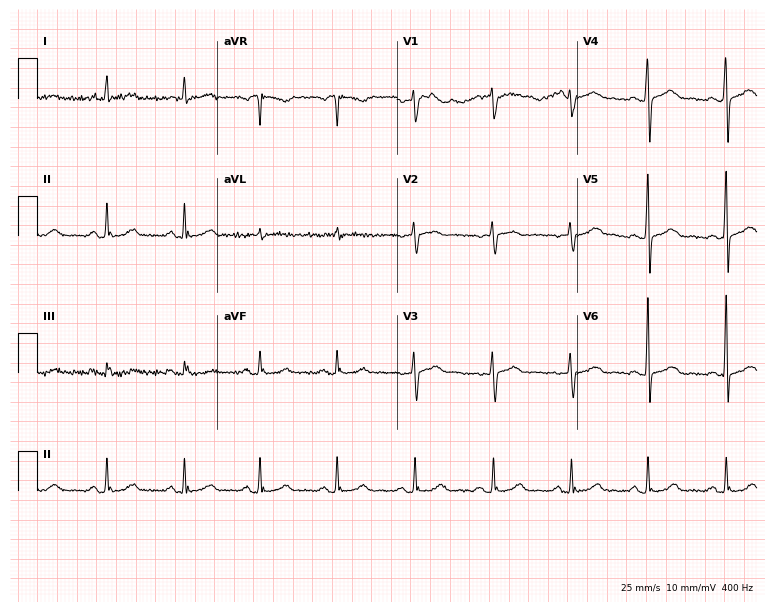
Electrocardiogram (7.3-second recording at 400 Hz), a 60-year-old female. Overall reading on record: normal ECG.